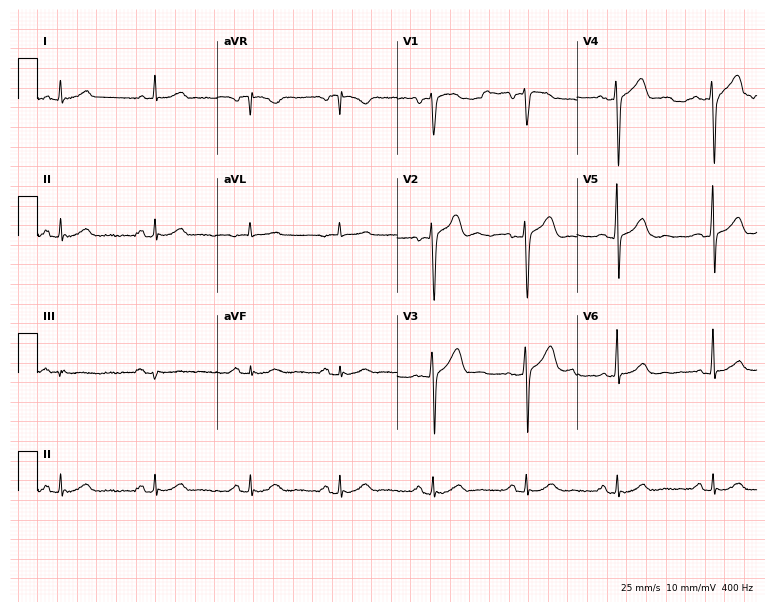
12-lead ECG from a 60-year-old man. Recorded interpretation: within normal limits.